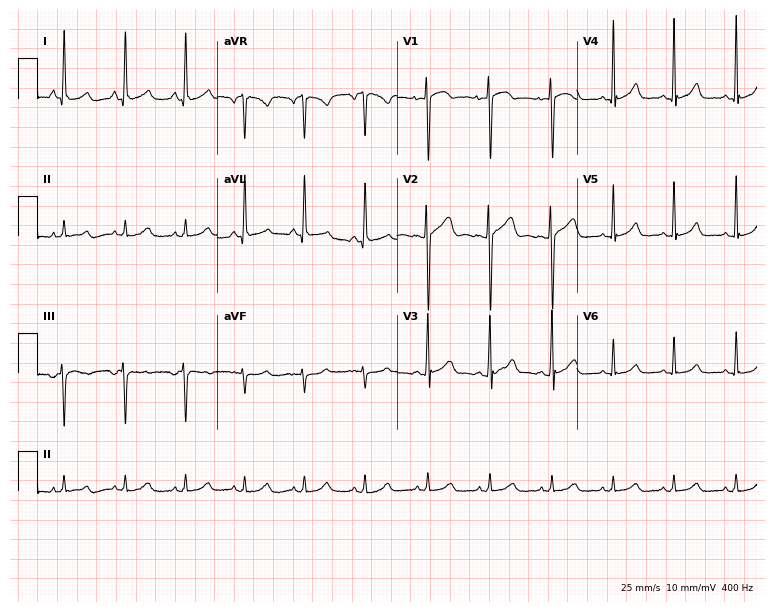
Resting 12-lead electrocardiogram. Patient: a female, 27 years old. Read as a normal ECG.